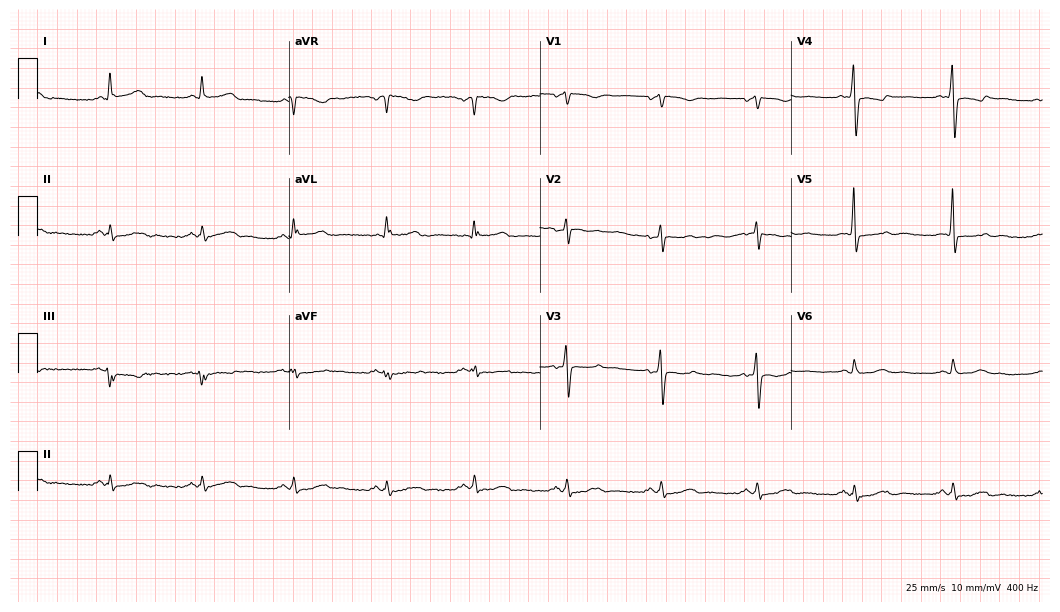
Standard 12-lead ECG recorded from a female, 50 years old. None of these six findings is recorded: first-degree AV block, right bundle branch block, left bundle branch block, sinus bradycardia, atrial fibrillation, sinus tachycardia. Findings outside these six are not listed.